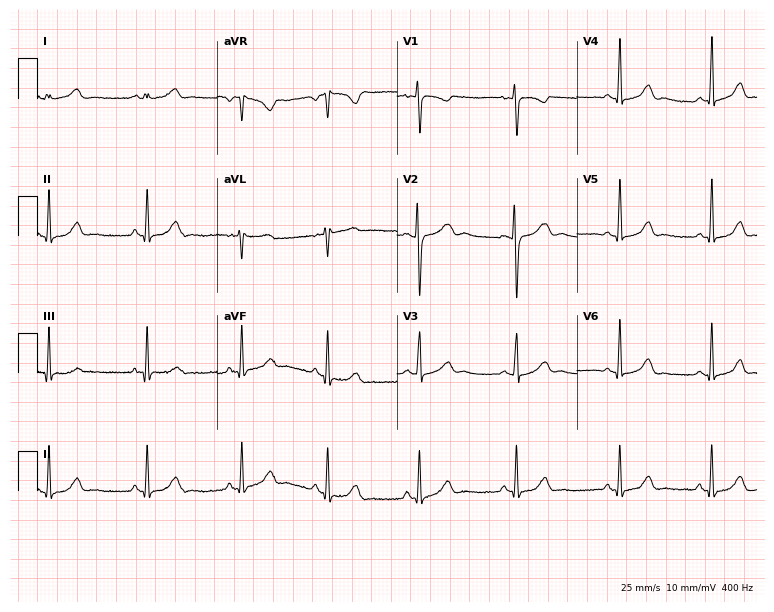
ECG — a female, 24 years old. Labelled as a normal ECG.